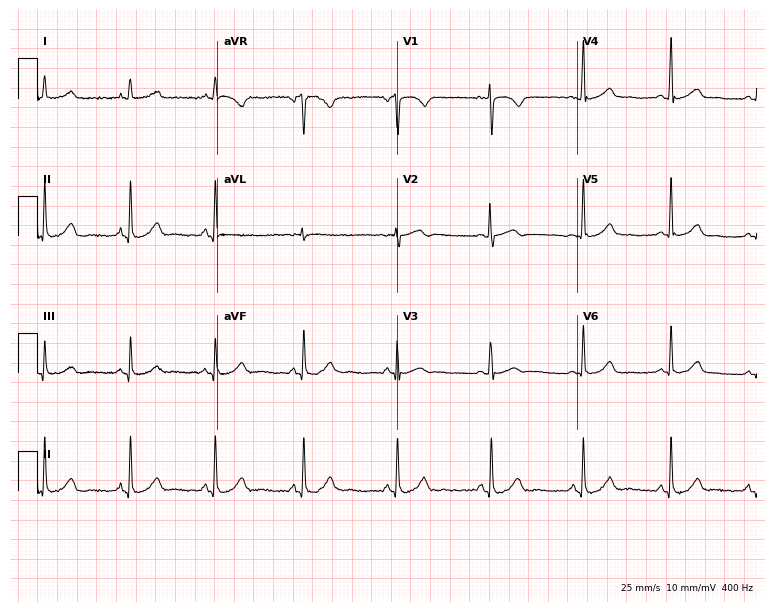
Electrocardiogram (7.3-second recording at 400 Hz), a female, 38 years old. Overall reading on record: normal ECG.